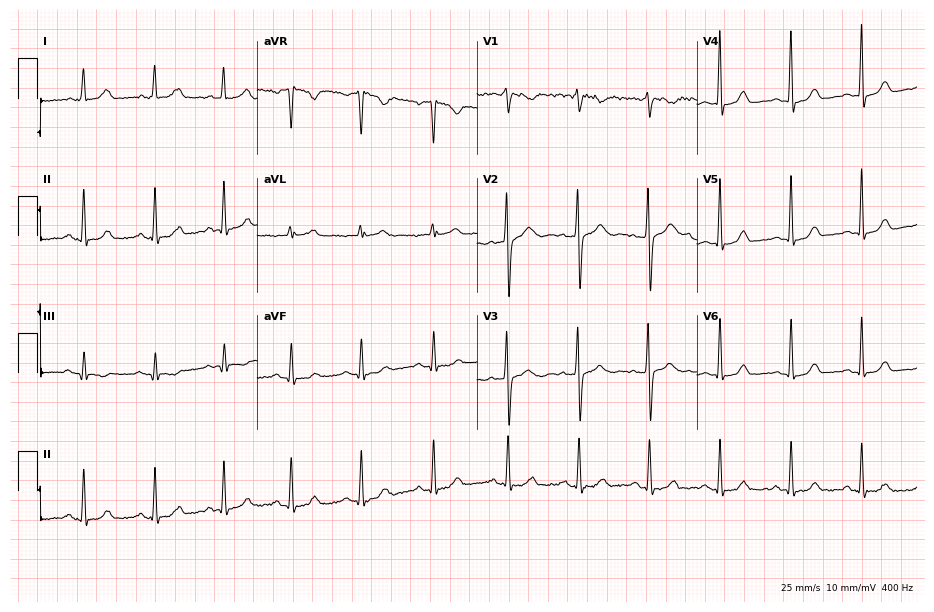
Electrocardiogram, a 39-year-old female. Of the six screened findings (first-degree AV block, right bundle branch block, left bundle branch block, sinus bradycardia, atrial fibrillation, sinus tachycardia), none is recorded.